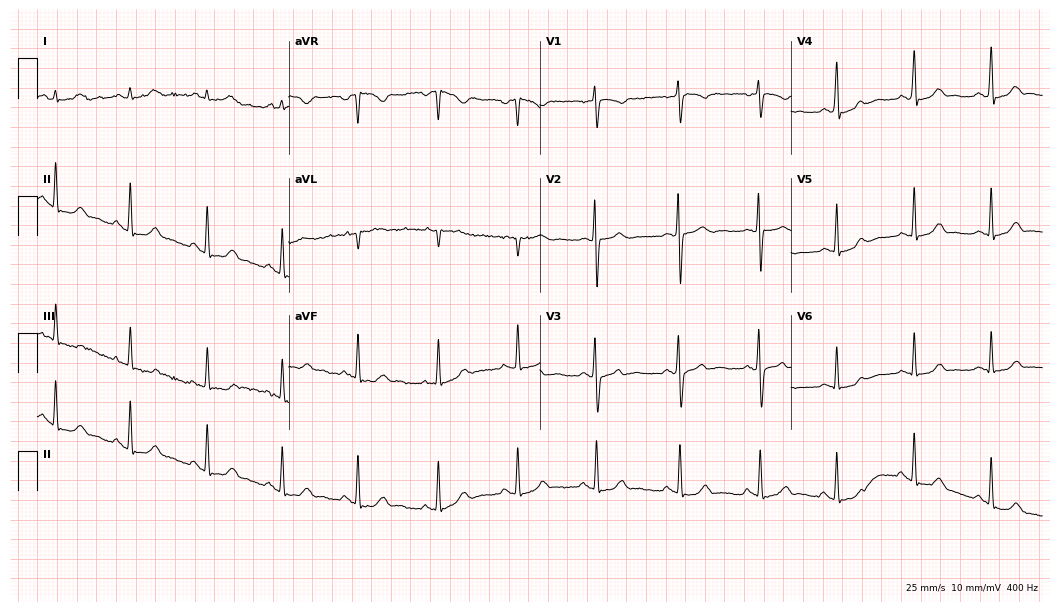
12-lead ECG (10.2-second recording at 400 Hz) from a female, 18 years old. Labelled as a normal ECG.